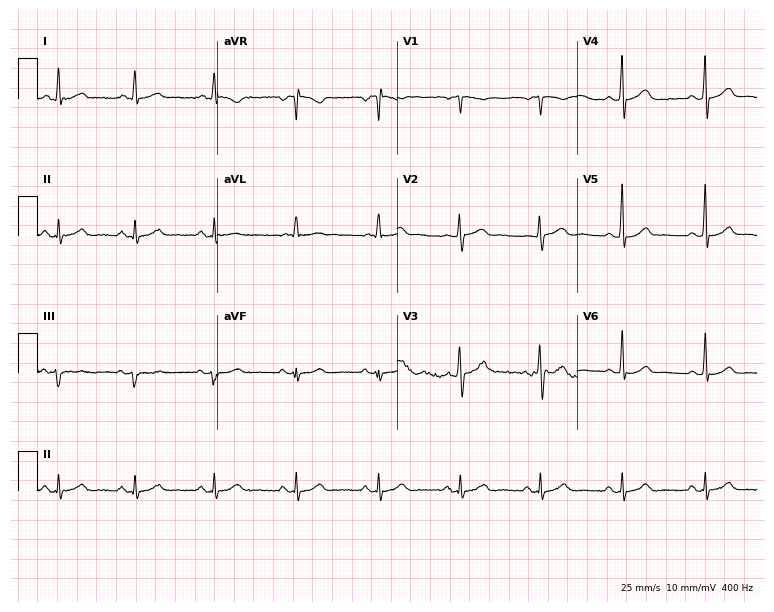
12-lead ECG from a man, 53 years old. Recorded interpretation: within normal limits.